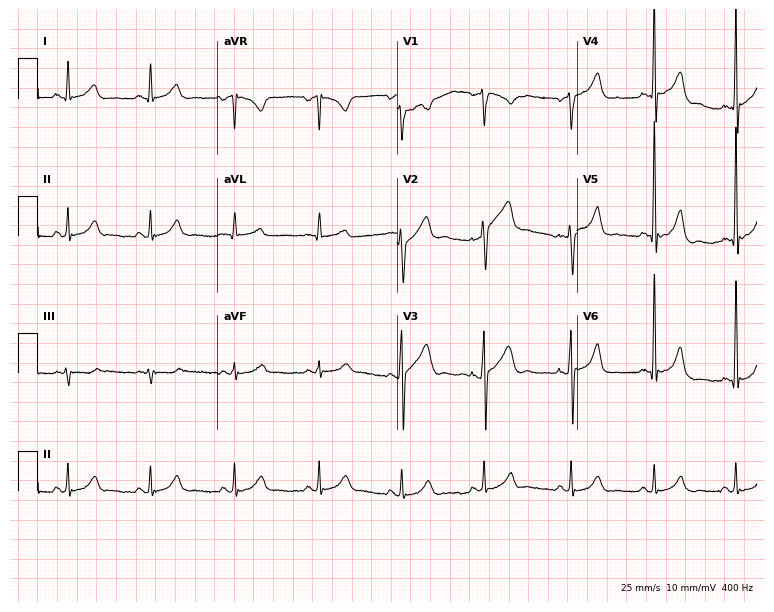
Electrocardiogram (7.3-second recording at 400 Hz), a man, 29 years old. Of the six screened findings (first-degree AV block, right bundle branch block, left bundle branch block, sinus bradycardia, atrial fibrillation, sinus tachycardia), none is recorded.